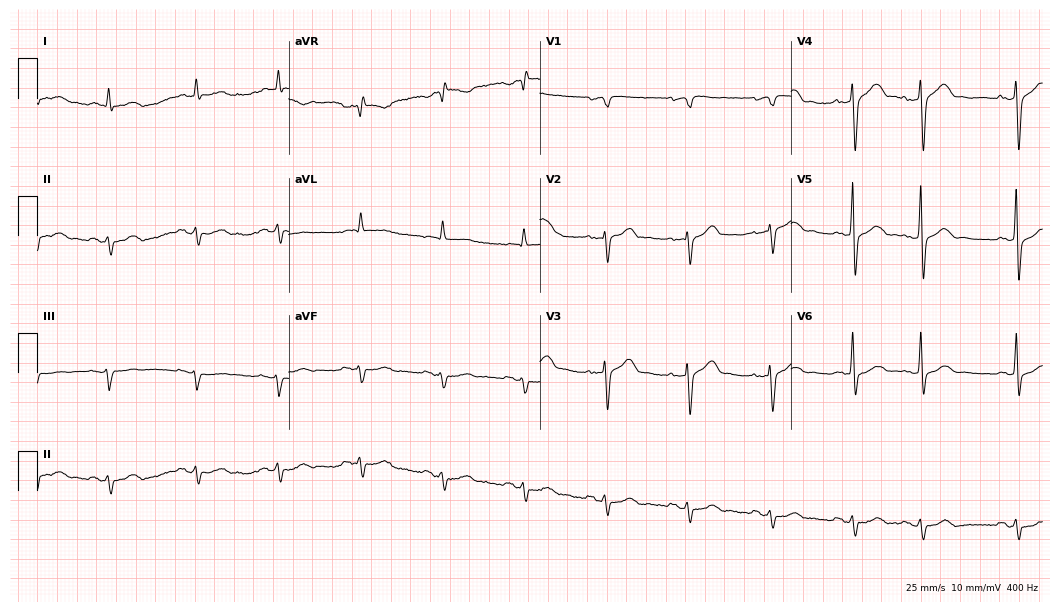
ECG — a 69-year-old male. Screened for six findings — first-degree AV block, right bundle branch block, left bundle branch block, sinus bradycardia, atrial fibrillation, sinus tachycardia — none is recorded. Other findings, if any, are not listed.